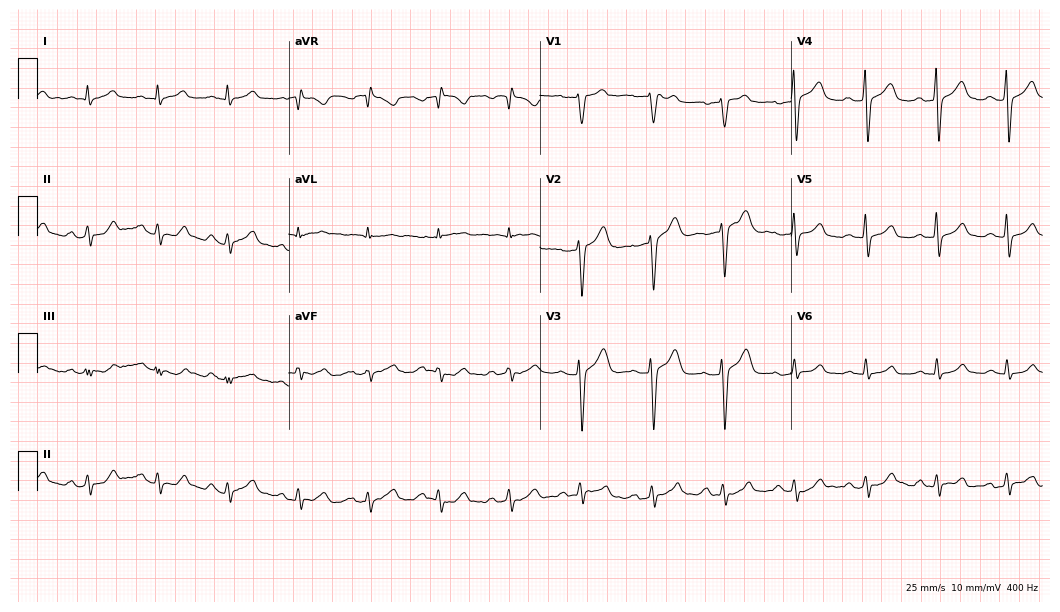
12-lead ECG from a woman, 56 years old (10.2-second recording at 400 Hz). Recorded interpretation: within normal limits.